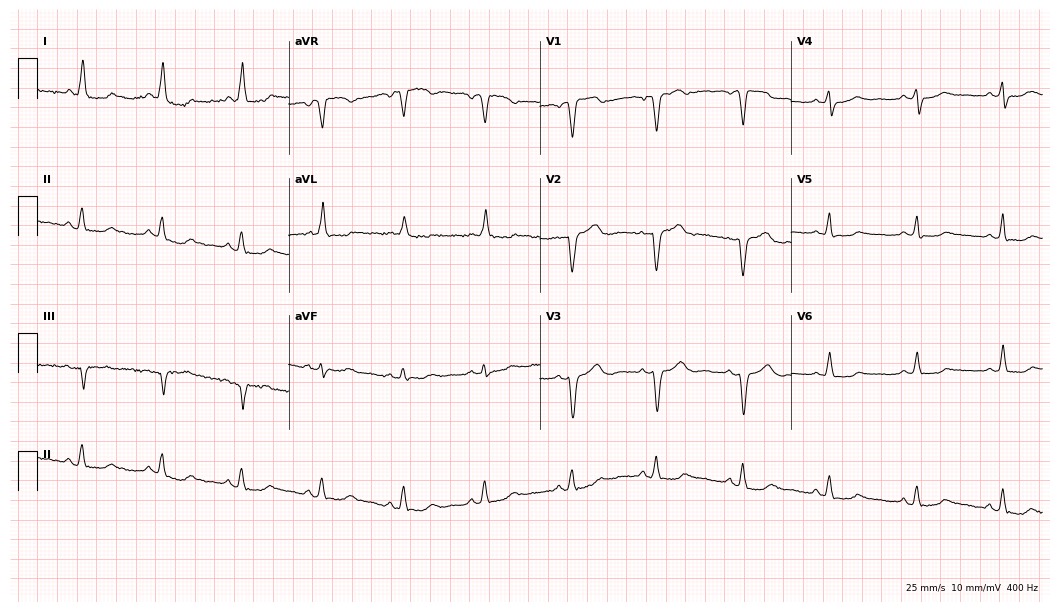
12-lead ECG (10.2-second recording at 400 Hz) from a 66-year-old woman. Screened for six findings — first-degree AV block, right bundle branch block, left bundle branch block, sinus bradycardia, atrial fibrillation, sinus tachycardia — none is recorded.